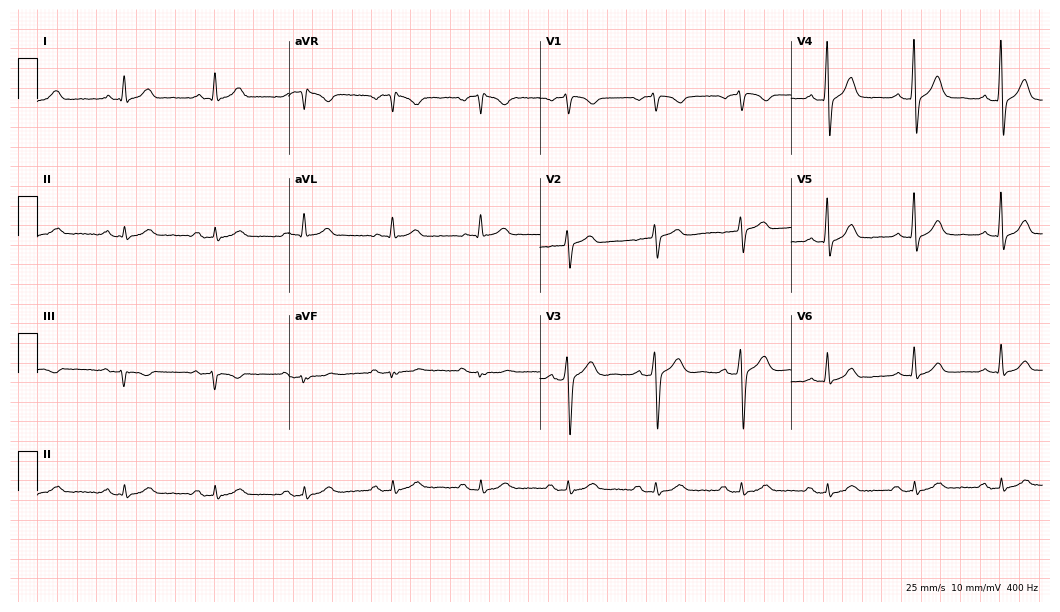
Electrocardiogram, a female patient, 59 years old. Overall reading on record: normal ECG.